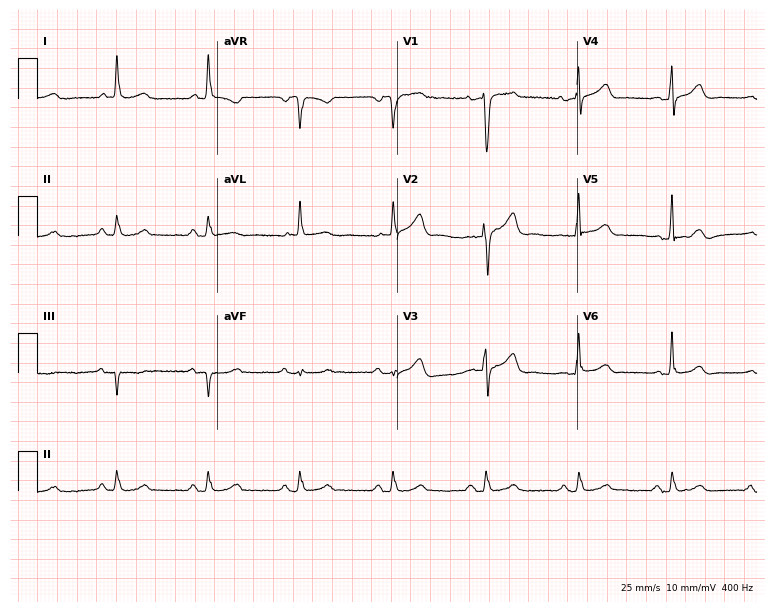
ECG — a man, 73 years old. Screened for six findings — first-degree AV block, right bundle branch block (RBBB), left bundle branch block (LBBB), sinus bradycardia, atrial fibrillation (AF), sinus tachycardia — none is recorded. Other findings, if any, are not listed.